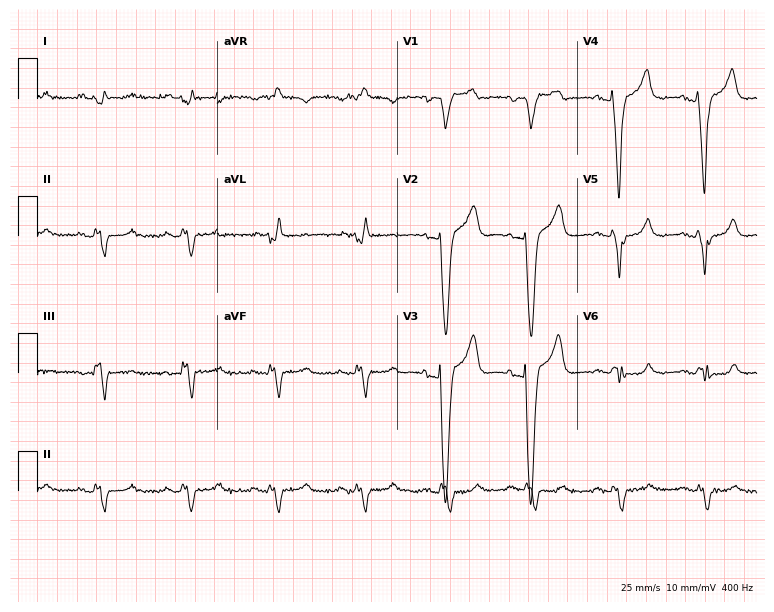
12-lead ECG (7.3-second recording at 400 Hz) from a female, 79 years old. Findings include left bundle branch block.